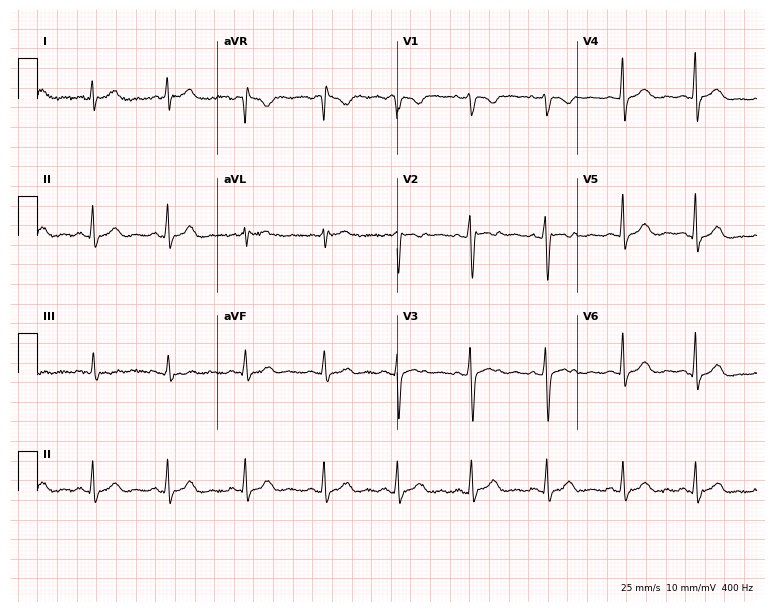
Resting 12-lead electrocardiogram. Patient: a 31-year-old female. Read as a normal ECG.